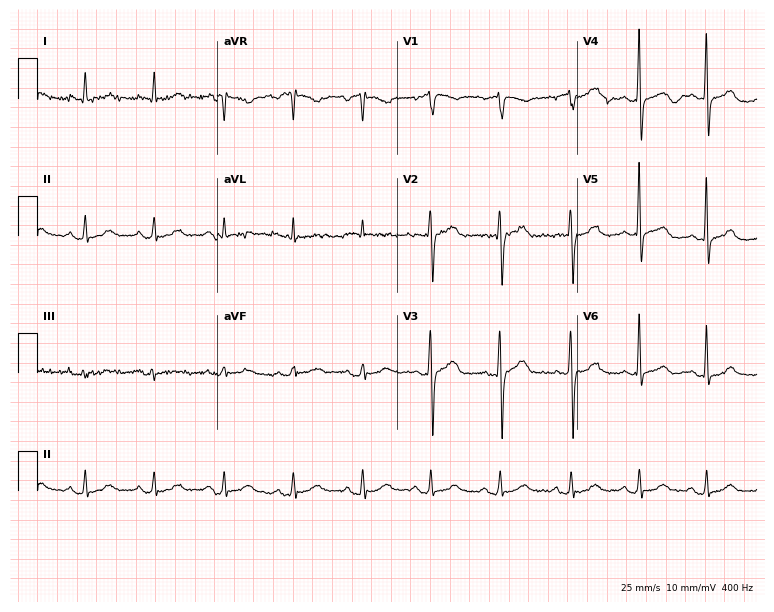
Resting 12-lead electrocardiogram. Patient: a man, 58 years old. None of these six findings is recorded: first-degree AV block, right bundle branch block, left bundle branch block, sinus bradycardia, atrial fibrillation, sinus tachycardia.